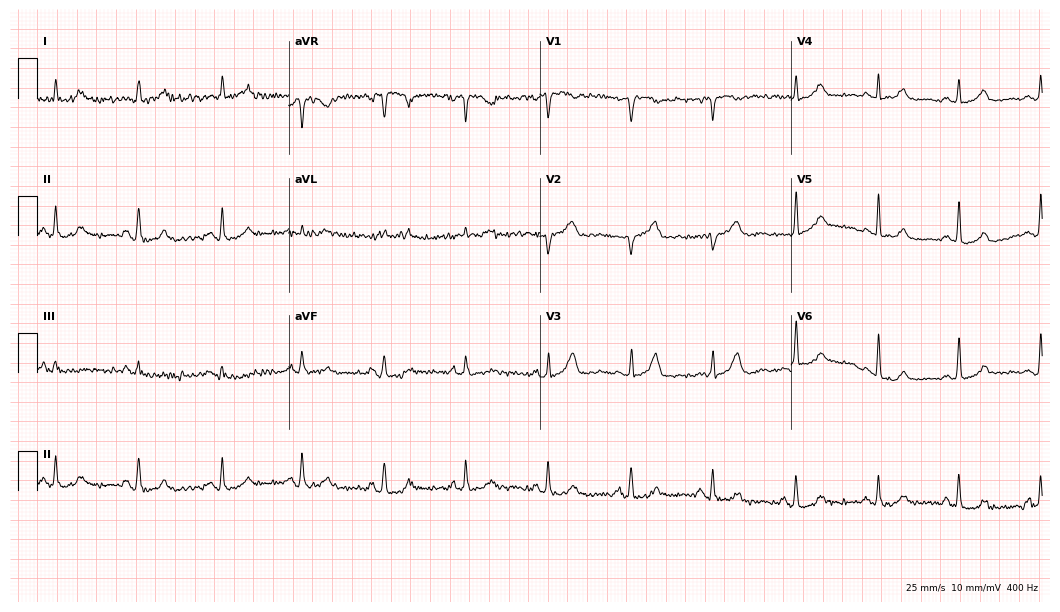
Standard 12-lead ECG recorded from a female patient, 78 years old. Read as a normal ECG.